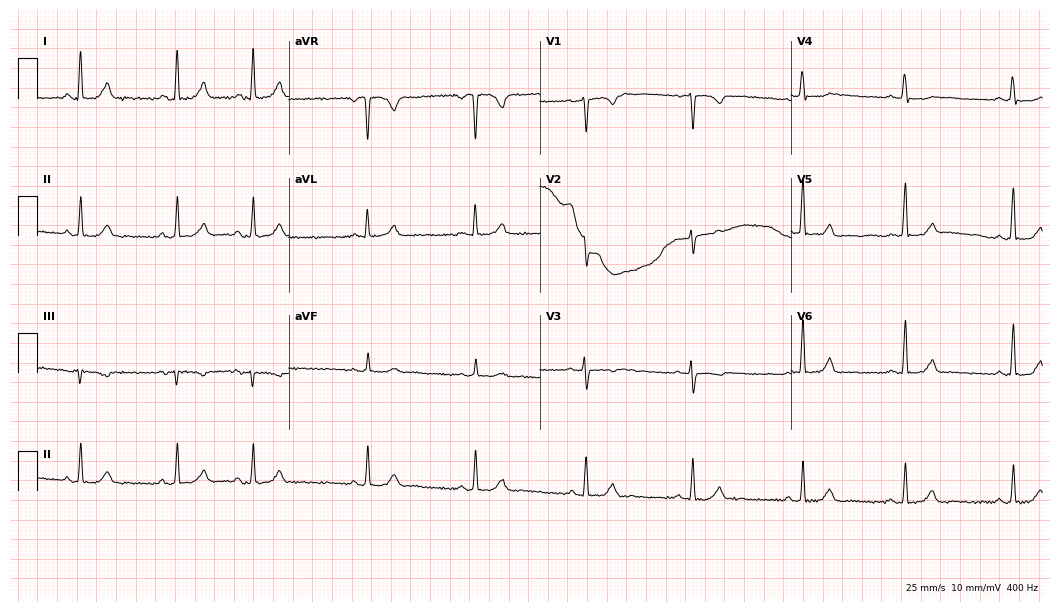
12-lead ECG (10.2-second recording at 400 Hz) from a female, 41 years old. Screened for six findings — first-degree AV block, right bundle branch block, left bundle branch block, sinus bradycardia, atrial fibrillation, sinus tachycardia — none is recorded. Other findings, if any, are not listed.